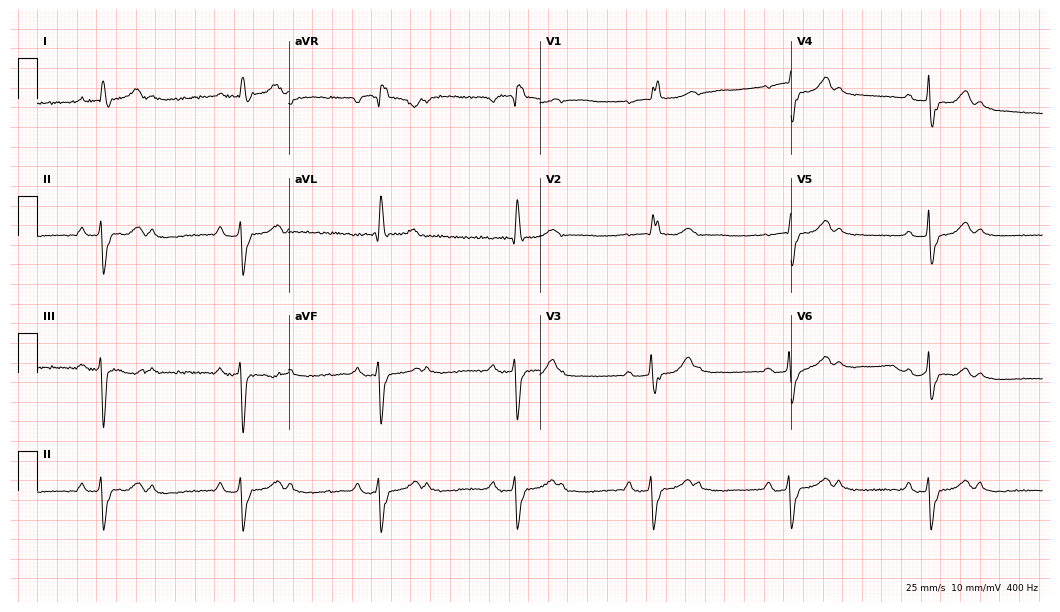
Electrocardiogram (10.2-second recording at 400 Hz), a 76-year-old female patient. Of the six screened findings (first-degree AV block, right bundle branch block, left bundle branch block, sinus bradycardia, atrial fibrillation, sinus tachycardia), none is recorded. Other findings, if any, are not listed.